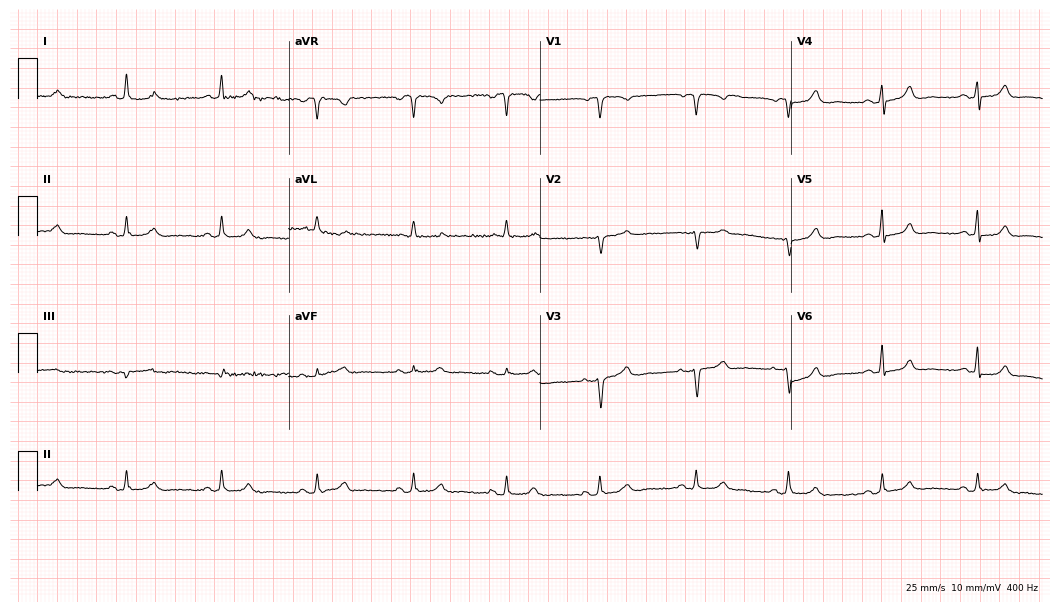
Standard 12-lead ECG recorded from a woman, 72 years old. Read as a normal ECG.